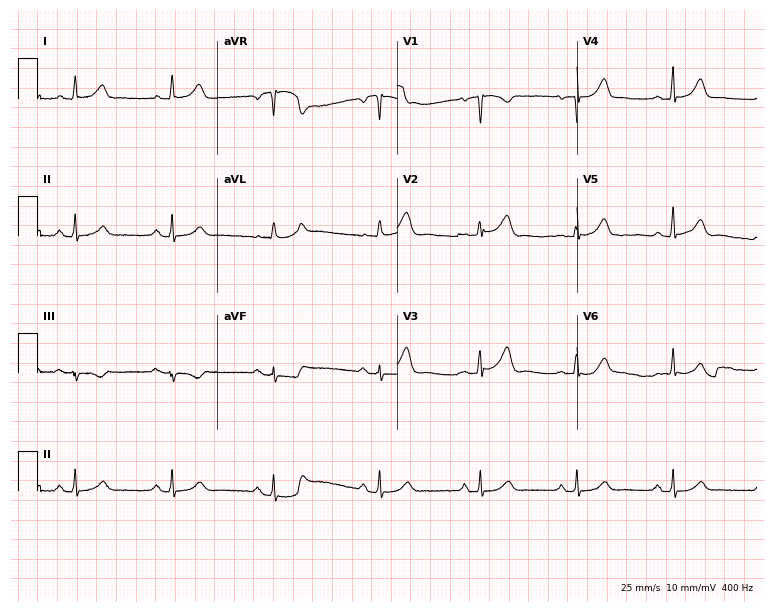
Resting 12-lead electrocardiogram. Patient: a 45-year-old female. None of these six findings is recorded: first-degree AV block, right bundle branch block, left bundle branch block, sinus bradycardia, atrial fibrillation, sinus tachycardia.